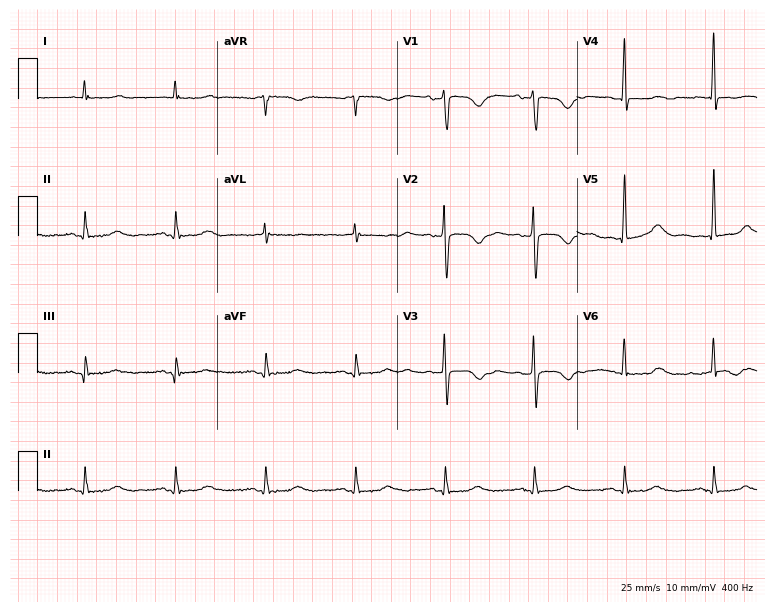
ECG (7.3-second recording at 400 Hz) — a 51-year-old woman. Screened for six findings — first-degree AV block, right bundle branch block, left bundle branch block, sinus bradycardia, atrial fibrillation, sinus tachycardia — none is recorded. Only these six findings were labelled.